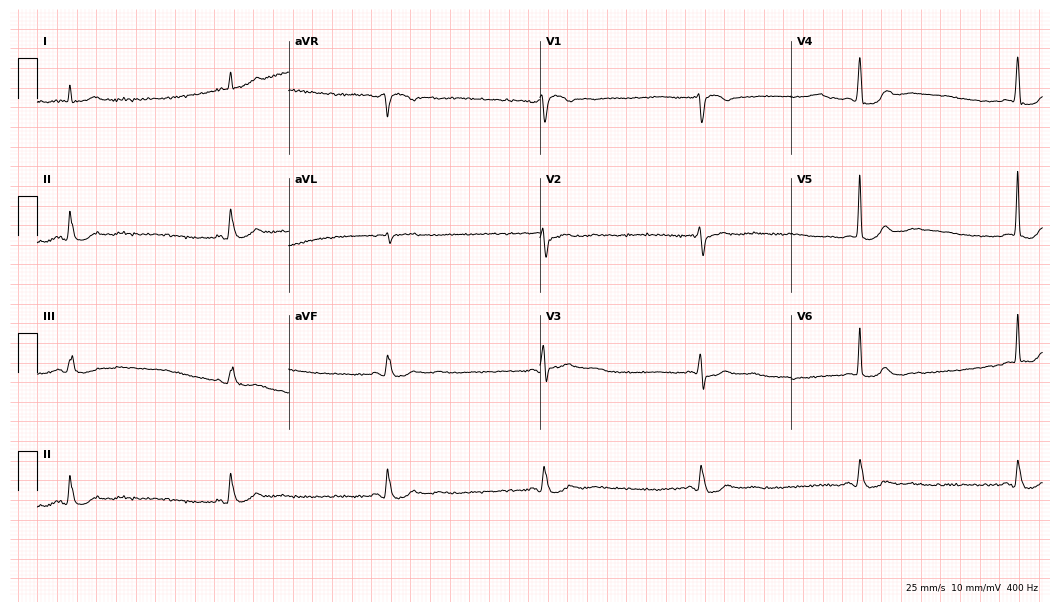
Standard 12-lead ECG recorded from an 81-year-old woman. The tracing shows sinus bradycardia (a sinus rate of 50 beats per minute or less).